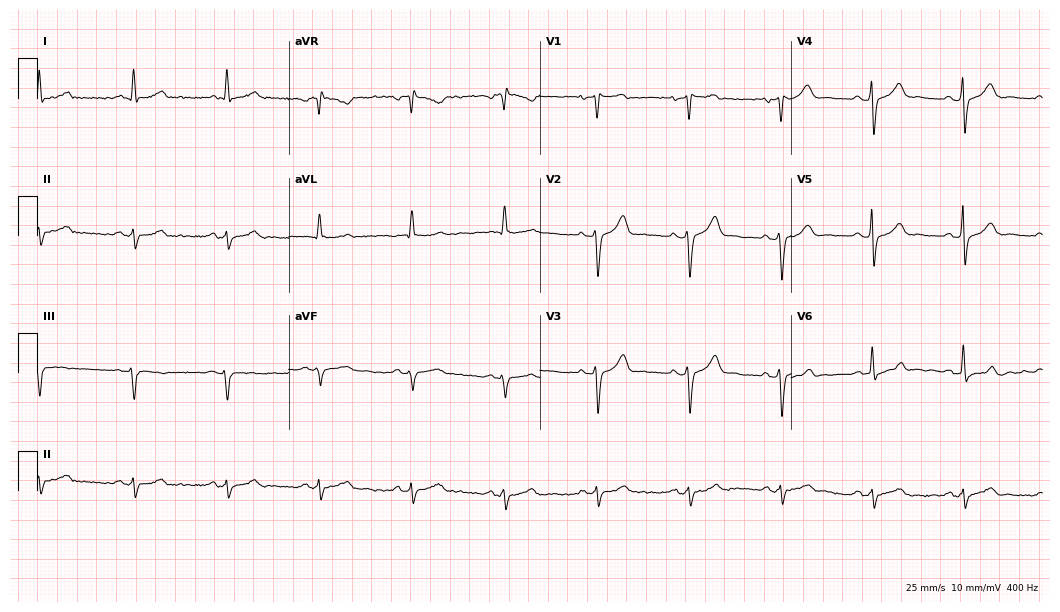
12-lead ECG from an 83-year-old male (10.2-second recording at 400 Hz). No first-degree AV block, right bundle branch block, left bundle branch block, sinus bradycardia, atrial fibrillation or sinus tachycardia recorded for this tracing.